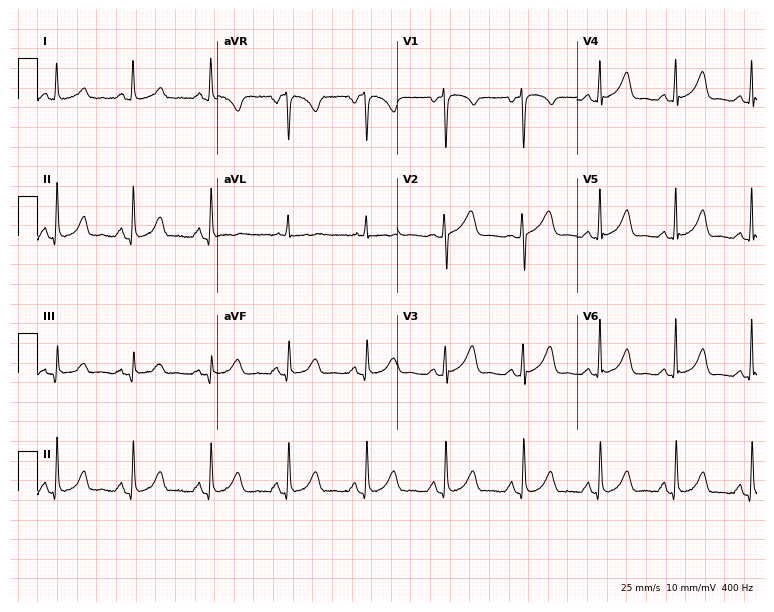
12-lead ECG from a 50-year-old female patient (7.3-second recording at 400 Hz). No first-degree AV block, right bundle branch block (RBBB), left bundle branch block (LBBB), sinus bradycardia, atrial fibrillation (AF) or sinus tachycardia recorded for this tracing. Other findings, if any, are not listed.